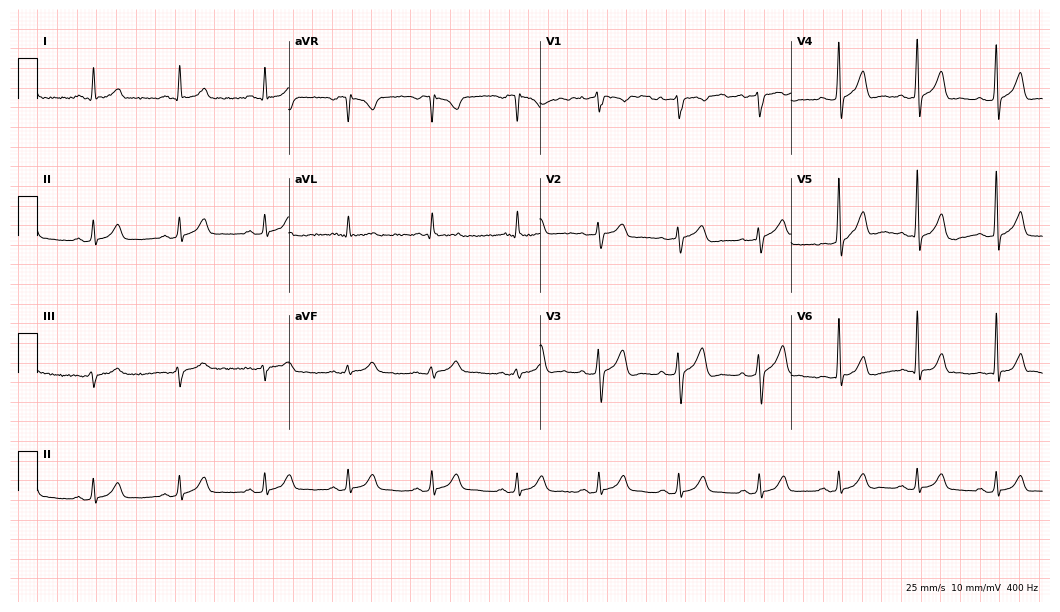
Electrocardiogram (10.2-second recording at 400 Hz), a man, 40 years old. Overall reading on record: normal ECG.